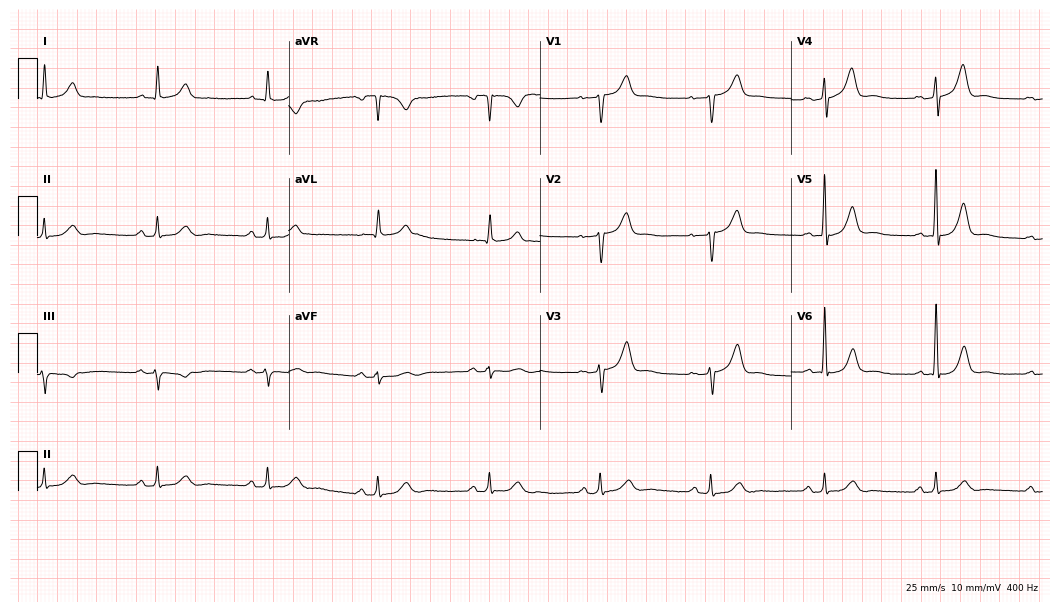
Standard 12-lead ECG recorded from a male, 64 years old (10.2-second recording at 400 Hz). Read as a normal ECG.